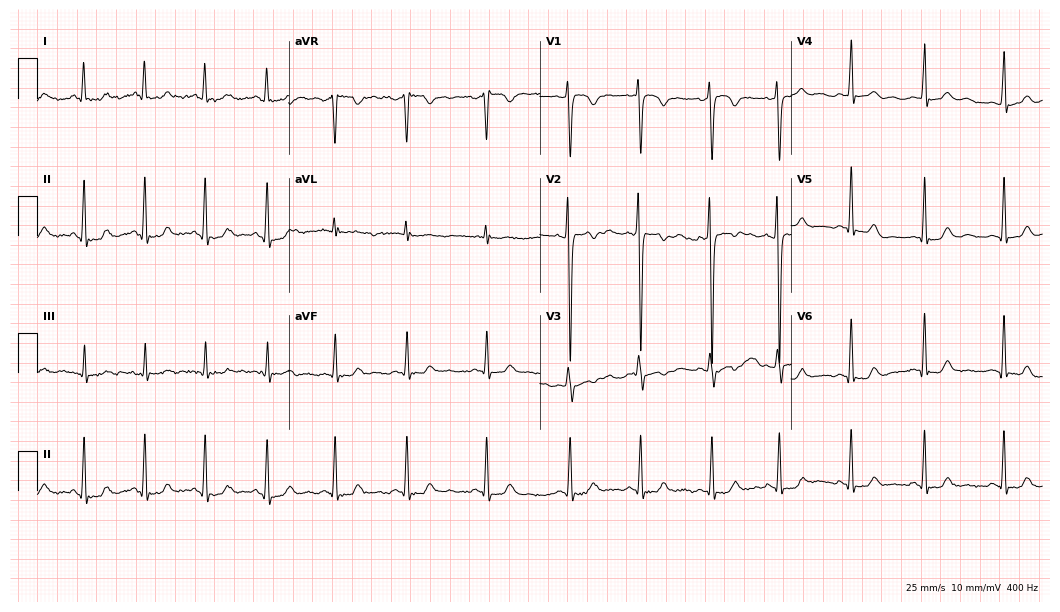
Electrocardiogram (10.2-second recording at 400 Hz), an 18-year-old male patient. Overall reading on record: normal ECG.